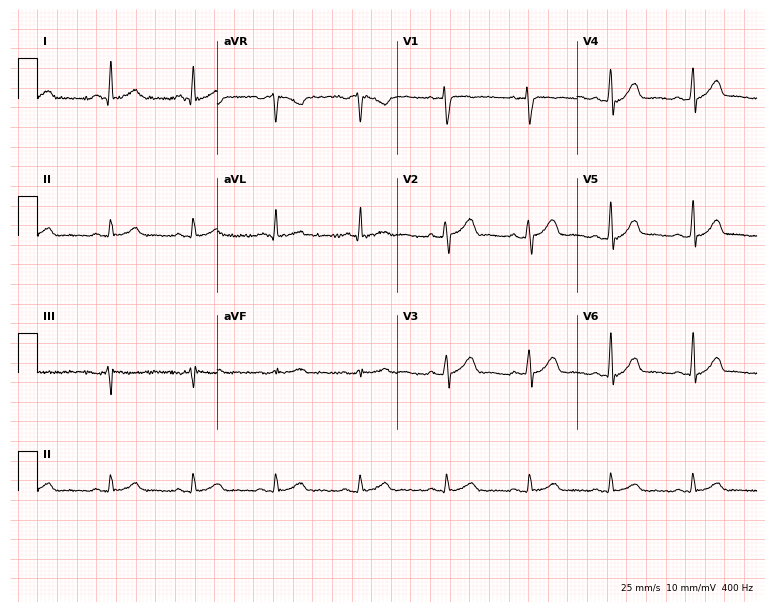
12-lead ECG from a male, 37 years old (7.3-second recording at 400 Hz). Recorded interpretation: within normal limits.